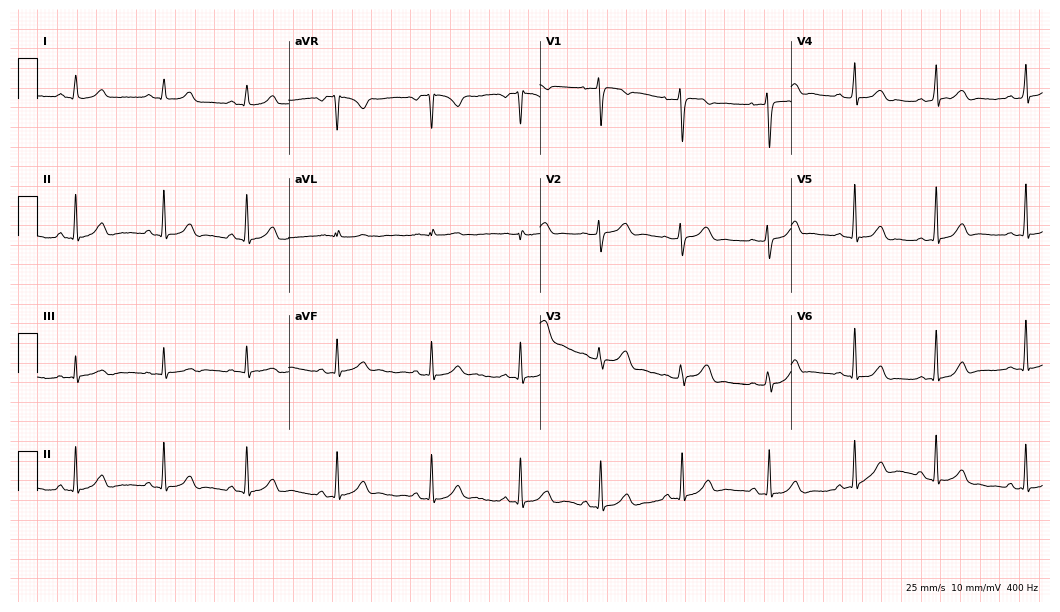
Electrocardiogram (10.2-second recording at 400 Hz), a 20-year-old woman. Overall reading on record: normal ECG.